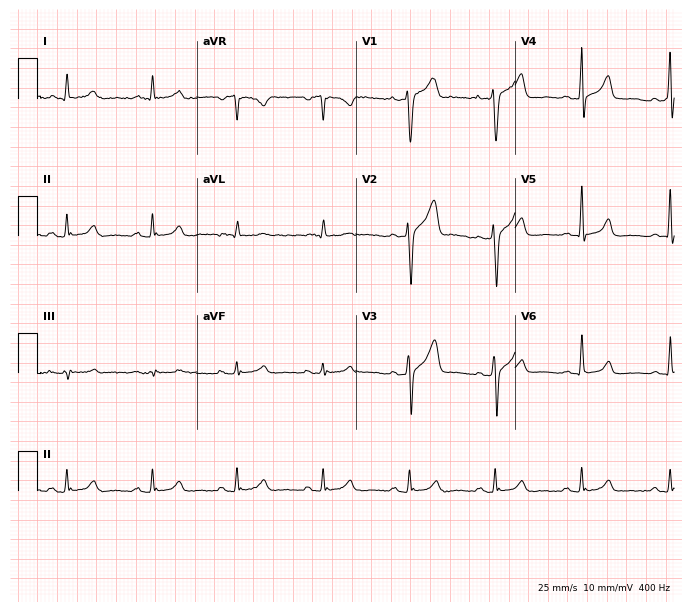
Electrocardiogram (6.5-second recording at 400 Hz), a male, 53 years old. Of the six screened findings (first-degree AV block, right bundle branch block (RBBB), left bundle branch block (LBBB), sinus bradycardia, atrial fibrillation (AF), sinus tachycardia), none is recorded.